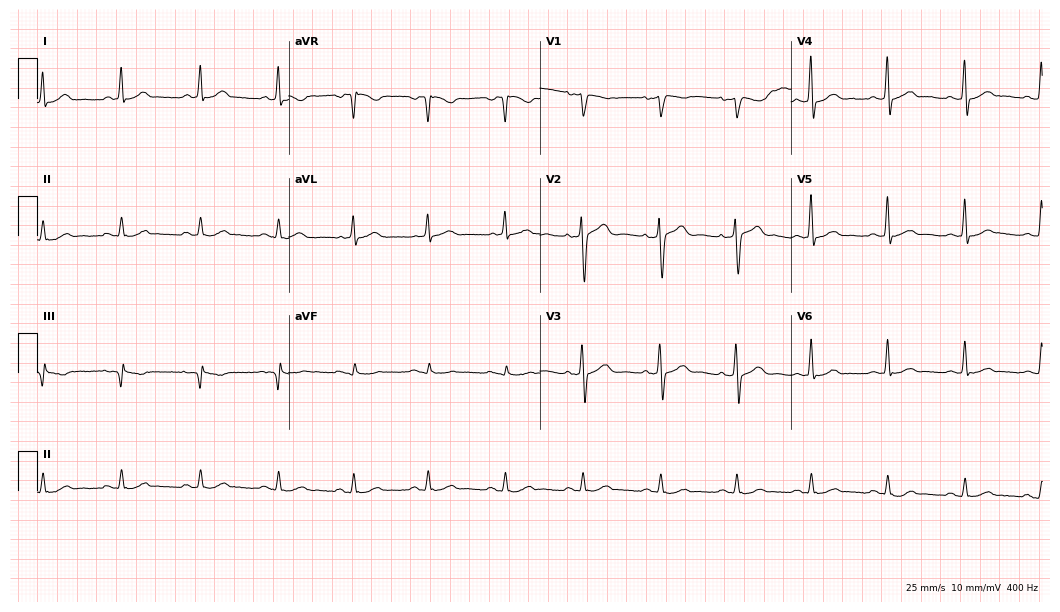
Standard 12-lead ECG recorded from a man, 50 years old (10.2-second recording at 400 Hz). Read as a normal ECG.